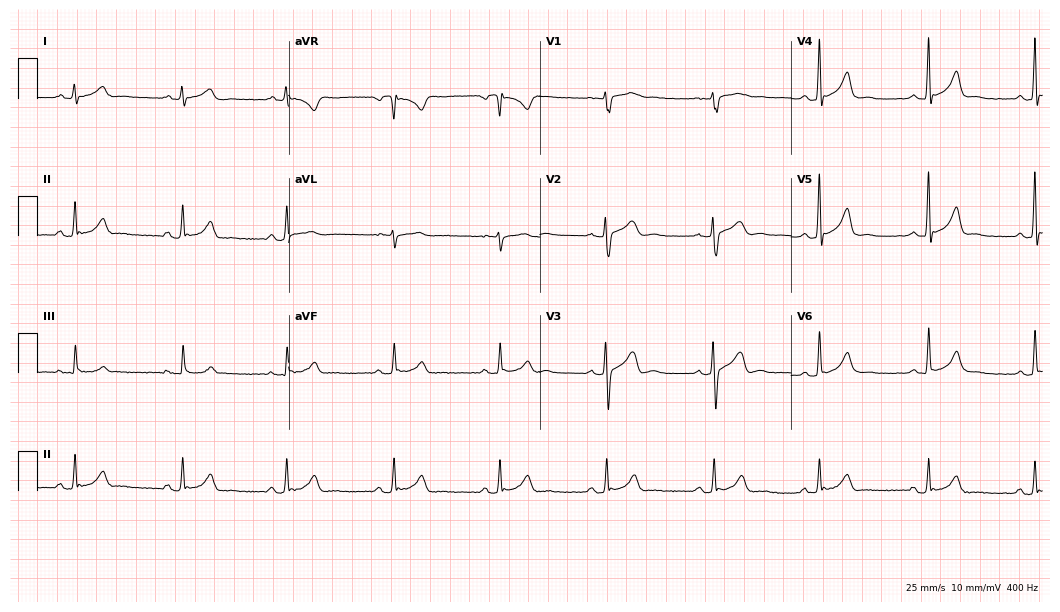
12-lead ECG from a 24-year-old male (10.2-second recording at 400 Hz). Recorded interpretation: within normal limits.